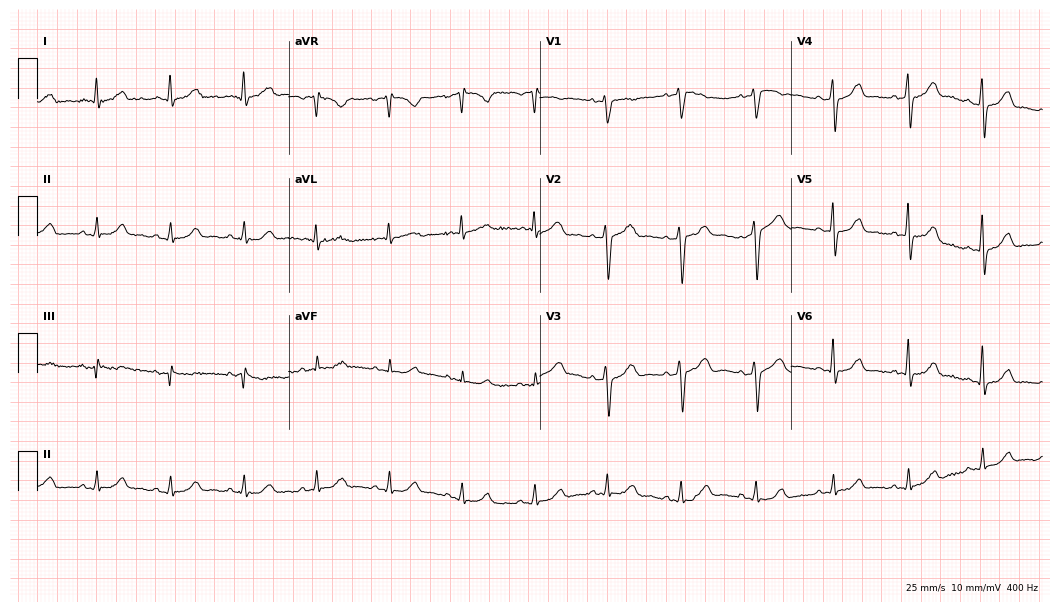
12-lead ECG (10.2-second recording at 400 Hz) from a woman, 66 years old. Labelled as a normal ECG.